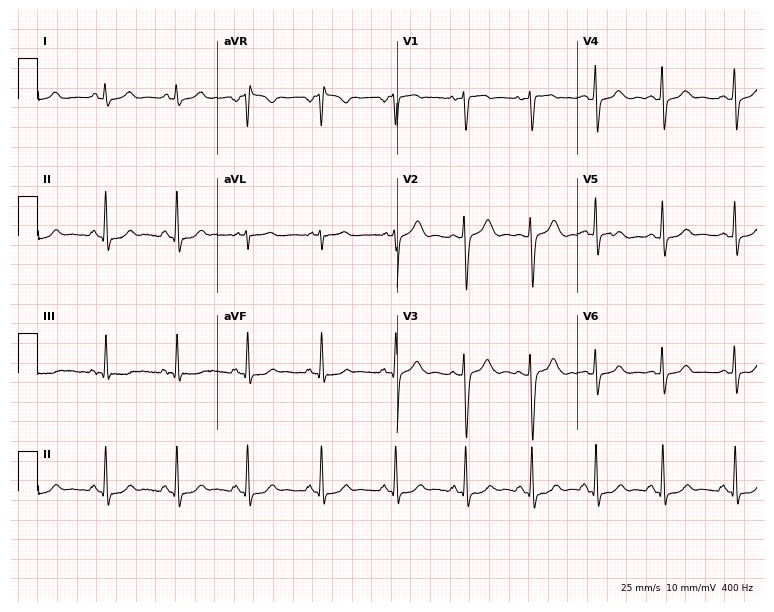
Standard 12-lead ECG recorded from a 36-year-old female (7.3-second recording at 400 Hz). Read as a normal ECG.